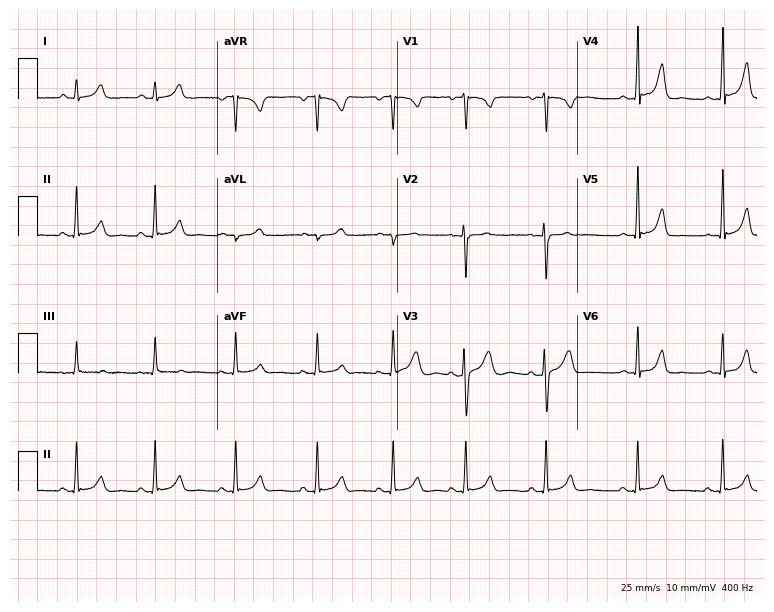
Electrocardiogram (7.3-second recording at 400 Hz), a 28-year-old female patient. Of the six screened findings (first-degree AV block, right bundle branch block, left bundle branch block, sinus bradycardia, atrial fibrillation, sinus tachycardia), none is recorded.